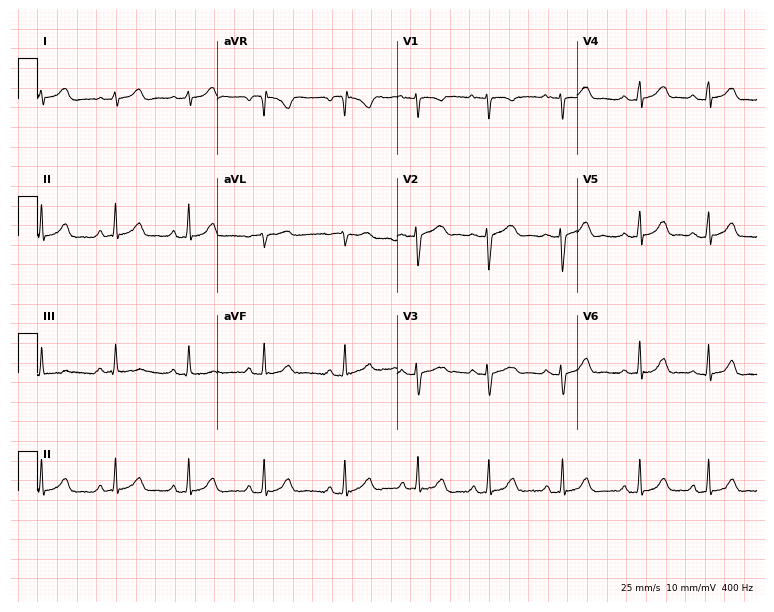
ECG — a 19-year-old female. Screened for six findings — first-degree AV block, right bundle branch block (RBBB), left bundle branch block (LBBB), sinus bradycardia, atrial fibrillation (AF), sinus tachycardia — none is recorded.